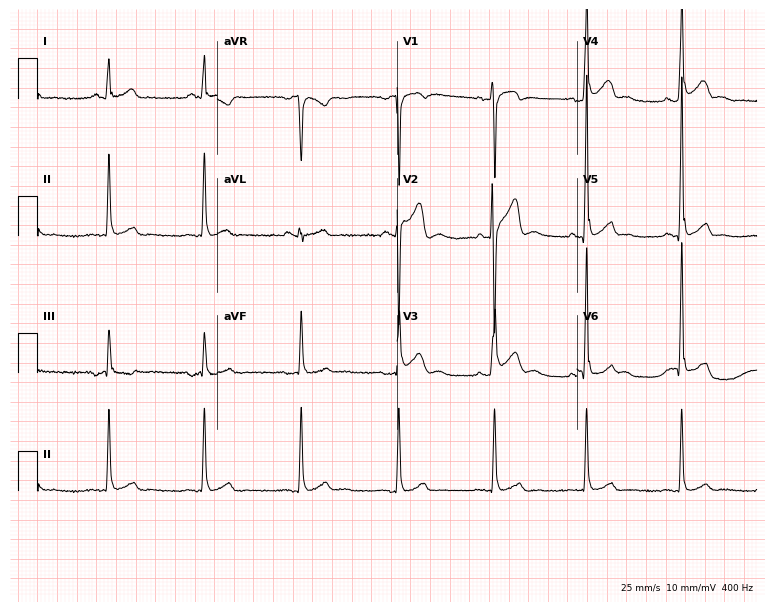
Standard 12-lead ECG recorded from a 50-year-old male (7.3-second recording at 400 Hz). None of these six findings is recorded: first-degree AV block, right bundle branch block, left bundle branch block, sinus bradycardia, atrial fibrillation, sinus tachycardia.